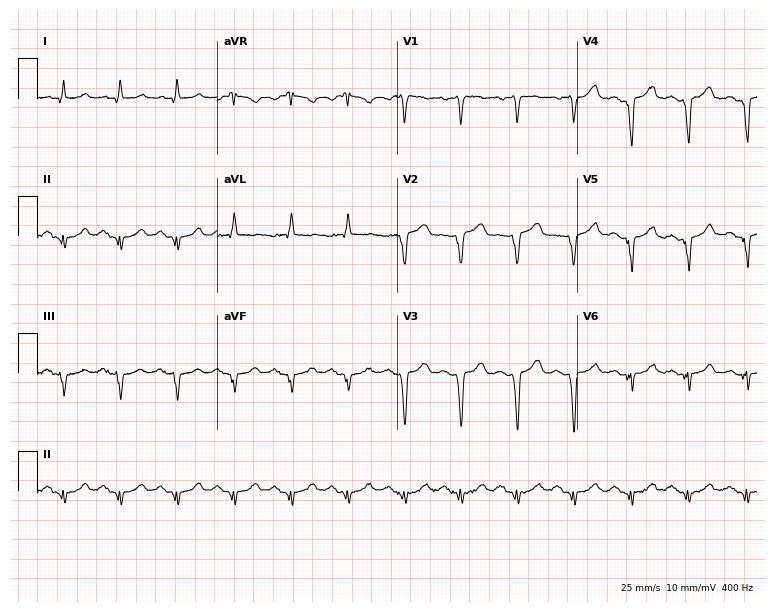
Electrocardiogram (7.3-second recording at 400 Hz), a 61-year-old man. Interpretation includes sinus tachycardia (a sinus rate of 100 beats per minute or more).